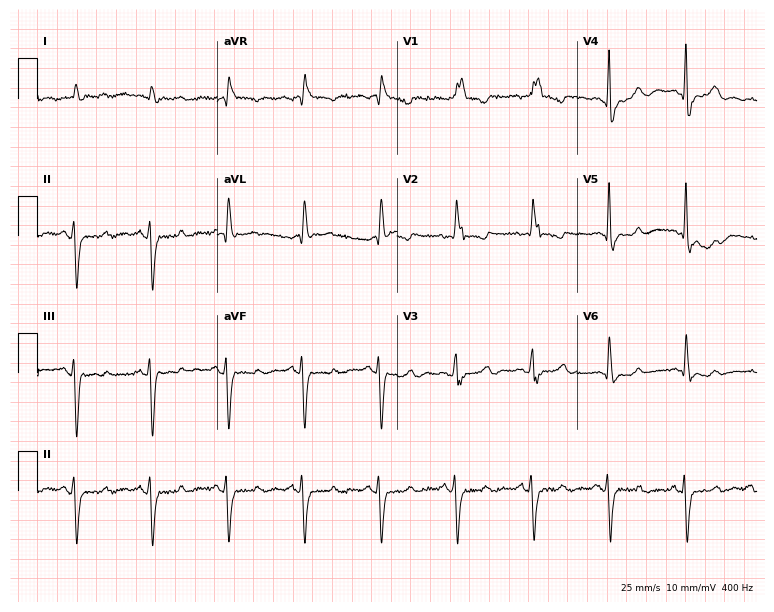
ECG — a 66-year-old male. Findings include right bundle branch block.